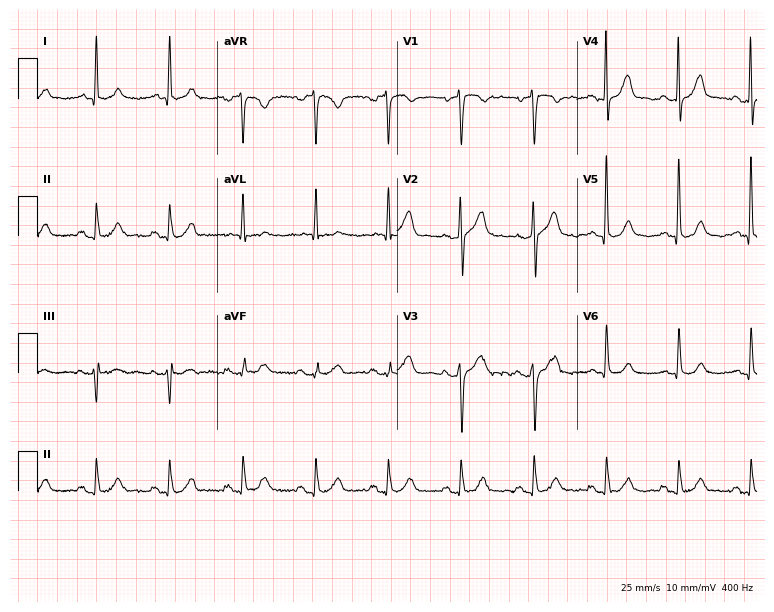
Electrocardiogram (7.3-second recording at 400 Hz), an 83-year-old man. Overall reading on record: normal ECG.